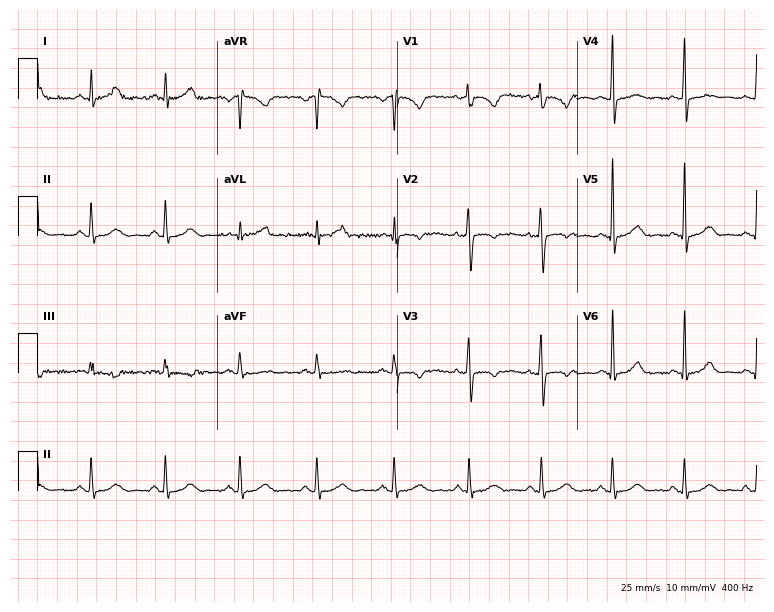
Standard 12-lead ECG recorded from a female, 34 years old. None of these six findings is recorded: first-degree AV block, right bundle branch block, left bundle branch block, sinus bradycardia, atrial fibrillation, sinus tachycardia. Only these six findings were labelled.